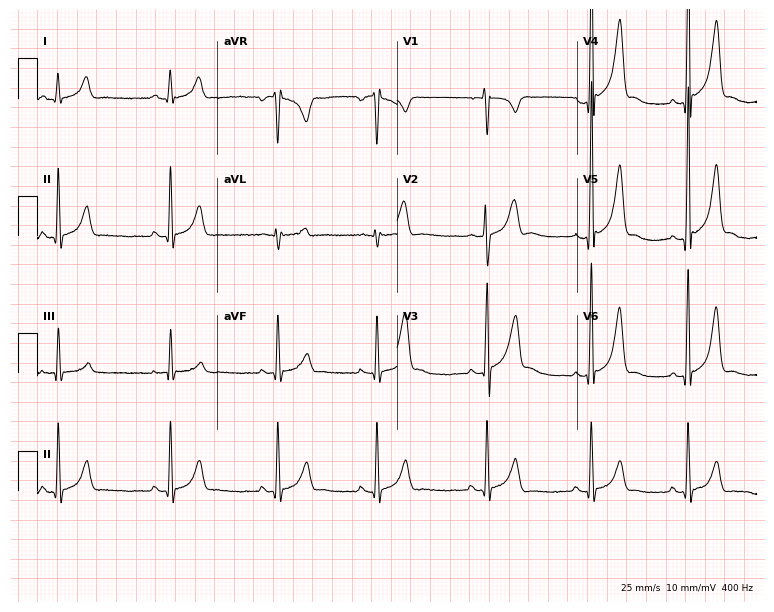
12-lead ECG from a 20-year-old male patient. Recorded interpretation: within normal limits.